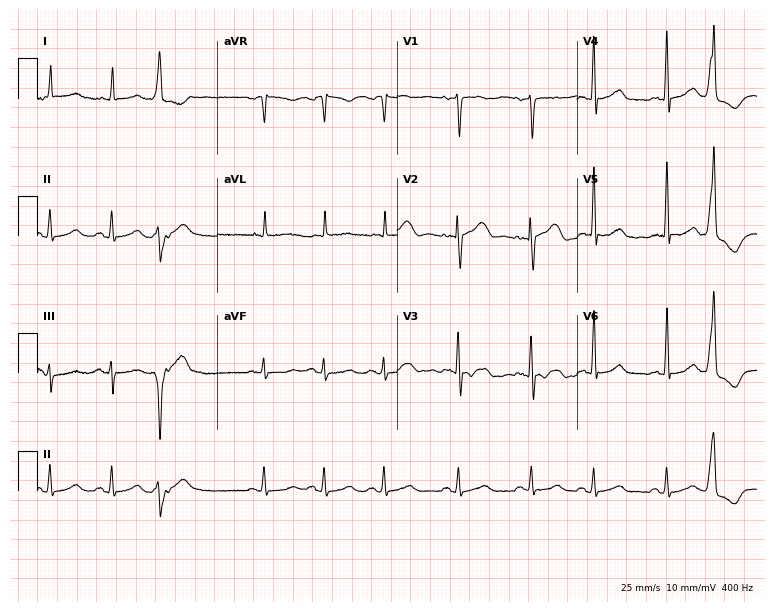
12-lead ECG from a woman, 78 years old (7.3-second recording at 400 Hz). No first-degree AV block, right bundle branch block (RBBB), left bundle branch block (LBBB), sinus bradycardia, atrial fibrillation (AF) or sinus tachycardia recorded for this tracing. Findings outside these six are not listed.